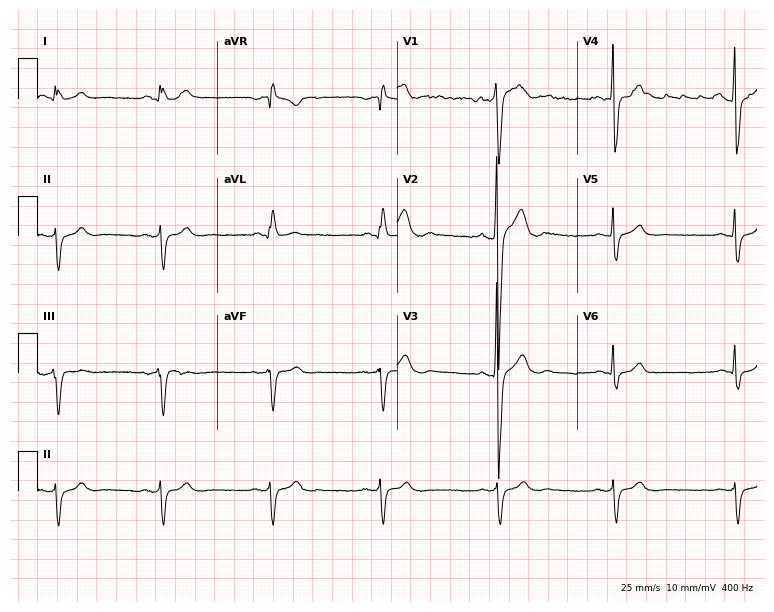
12-lead ECG (7.3-second recording at 400 Hz) from a male, 28 years old. Screened for six findings — first-degree AV block, right bundle branch block, left bundle branch block, sinus bradycardia, atrial fibrillation, sinus tachycardia — none is recorded.